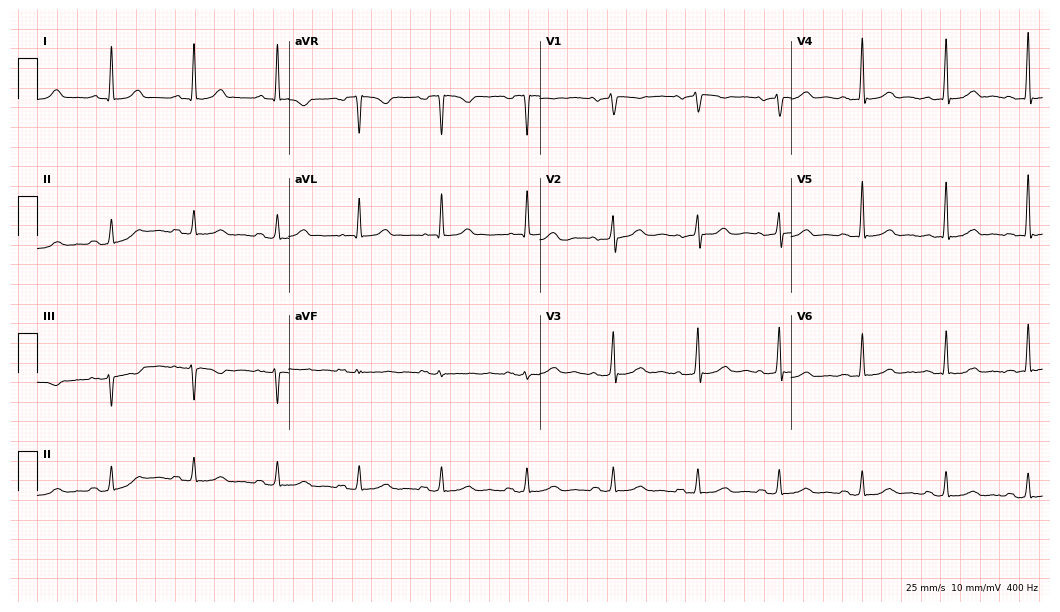
ECG — a 29-year-old woman. Screened for six findings — first-degree AV block, right bundle branch block (RBBB), left bundle branch block (LBBB), sinus bradycardia, atrial fibrillation (AF), sinus tachycardia — none is recorded. Findings outside these six are not listed.